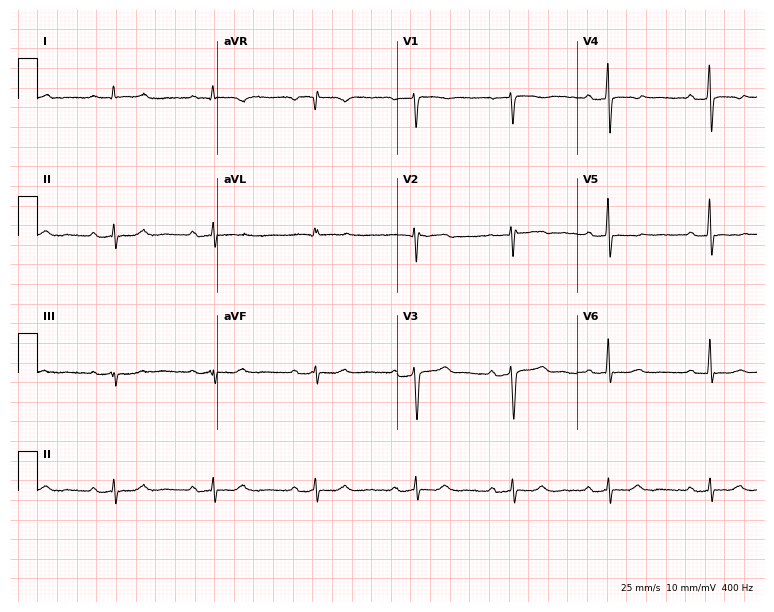
Standard 12-lead ECG recorded from a 49-year-old male (7.3-second recording at 400 Hz). None of these six findings is recorded: first-degree AV block, right bundle branch block (RBBB), left bundle branch block (LBBB), sinus bradycardia, atrial fibrillation (AF), sinus tachycardia.